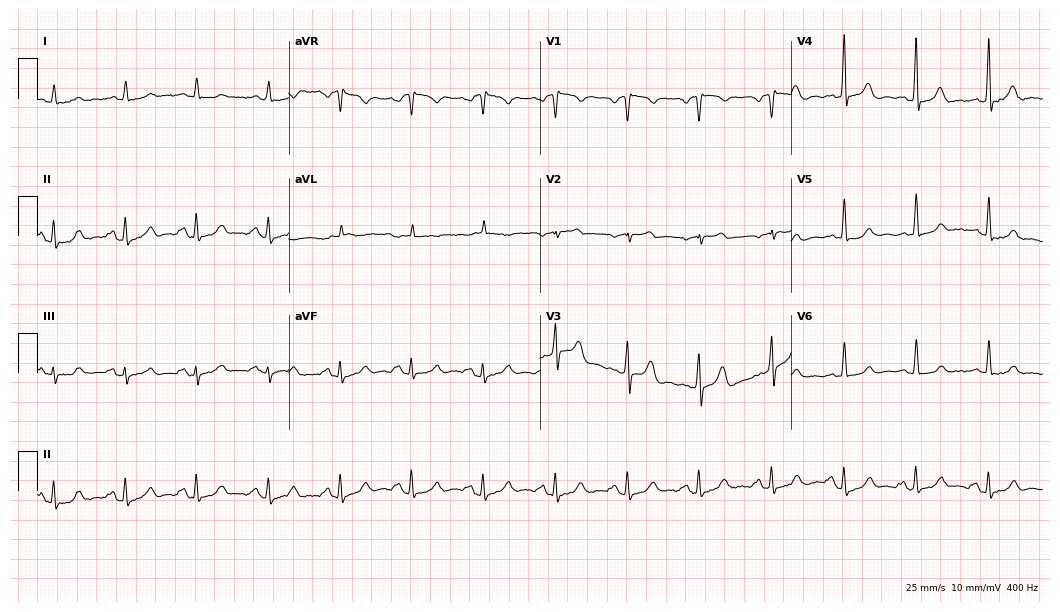
Resting 12-lead electrocardiogram. Patient: an 82-year-old man. Read as a normal ECG.